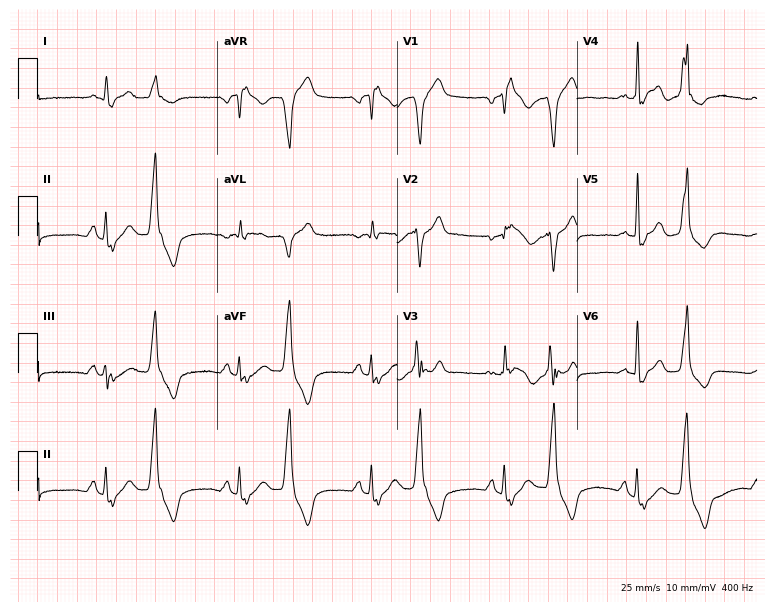
Standard 12-lead ECG recorded from a 77-year-old male patient (7.3-second recording at 400 Hz). None of these six findings is recorded: first-degree AV block, right bundle branch block (RBBB), left bundle branch block (LBBB), sinus bradycardia, atrial fibrillation (AF), sinus tachycardia.